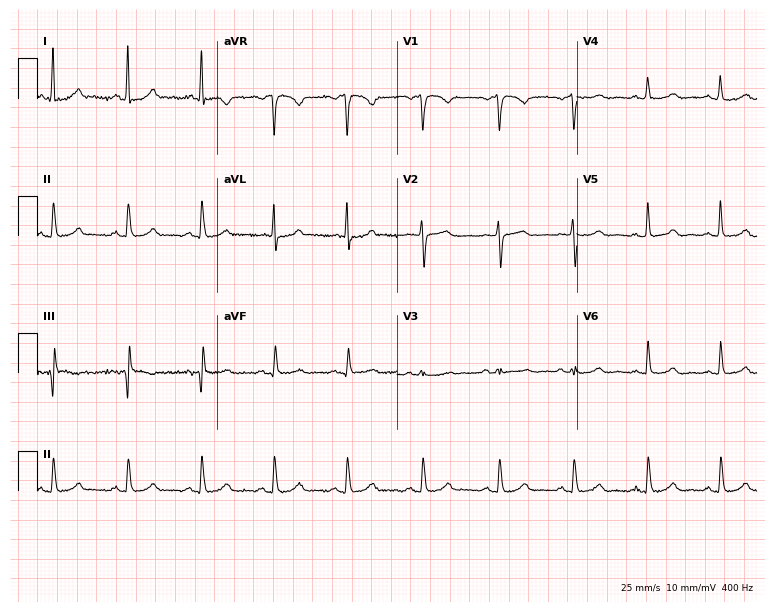
Resting 12-lead electrocardiogram (7.3-second recording at 400 Hz). Patient: a 64-year-old woman. Read as a normal ECG.